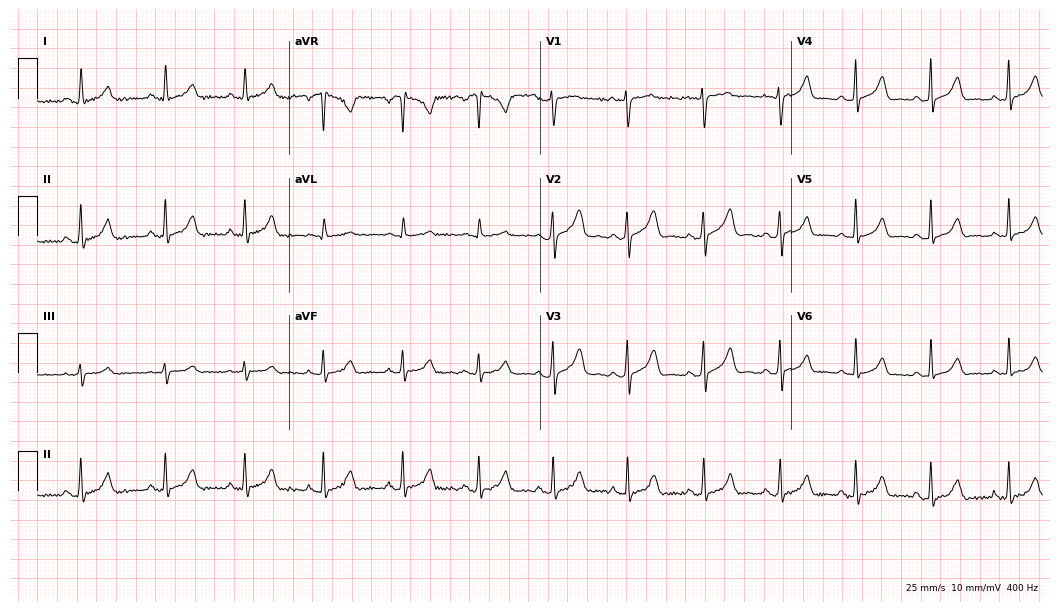
12-lead ECG (10.2-second recording at 400 Hz) from a woman, 24 years old. Labelled as a normal ECG.